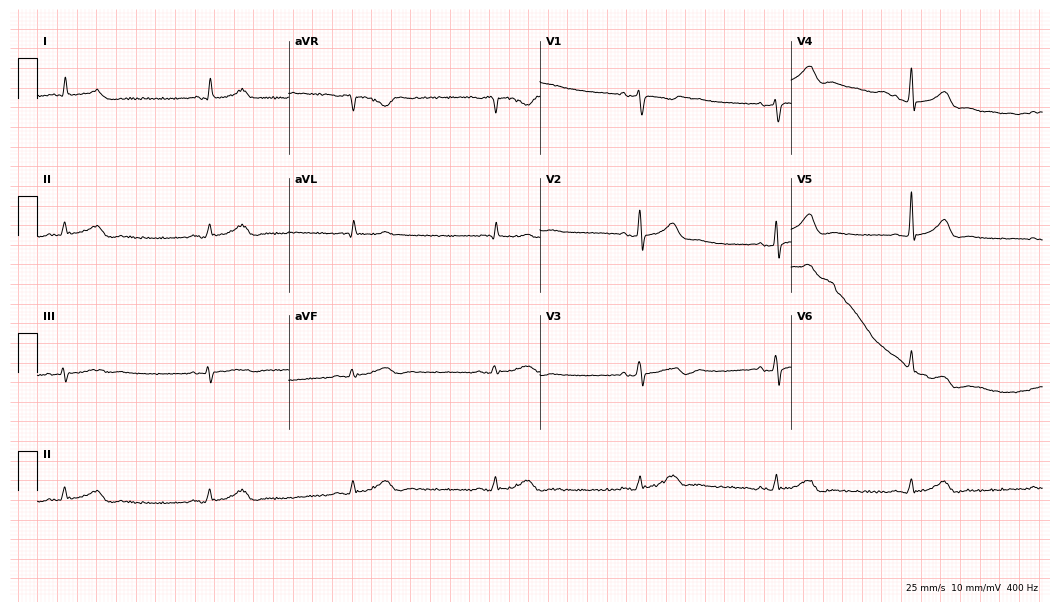
ECG (10.2-second recording at 400 Hz) — a male, 75 years old. Findings include sinus bradycardia (a sinus rate of 50 beats per minute or less).